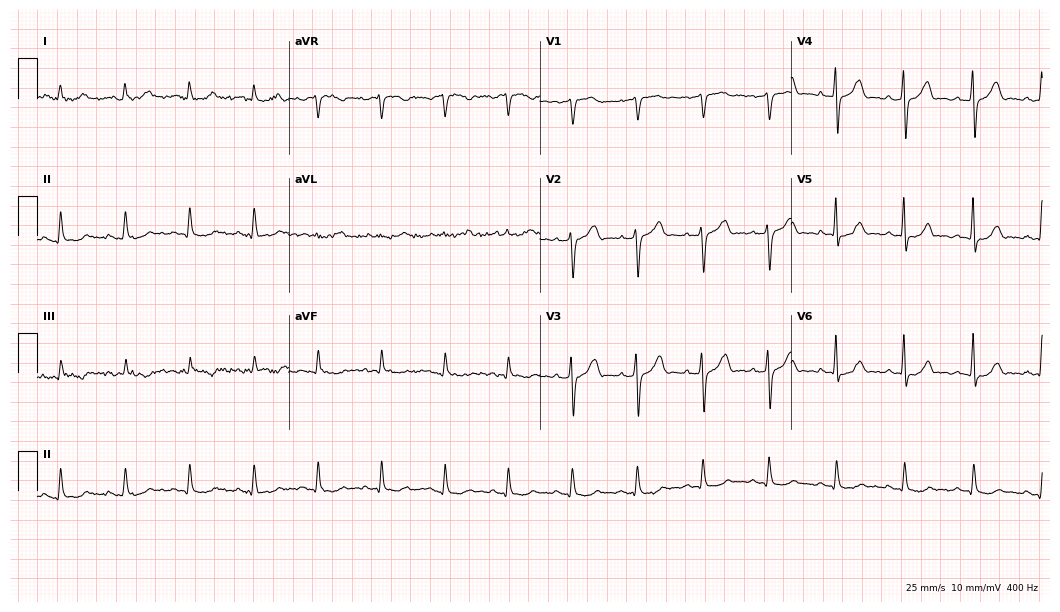
12-lead ECG (10.2-second recording at 400 Hz) from a 66-year-old male. Screened for six findings — first-degree AV block, right bundle branch block, left bundle branch block, sinus bradycardia, atrial fibrillation, sinus tachycardia — none is recorded.